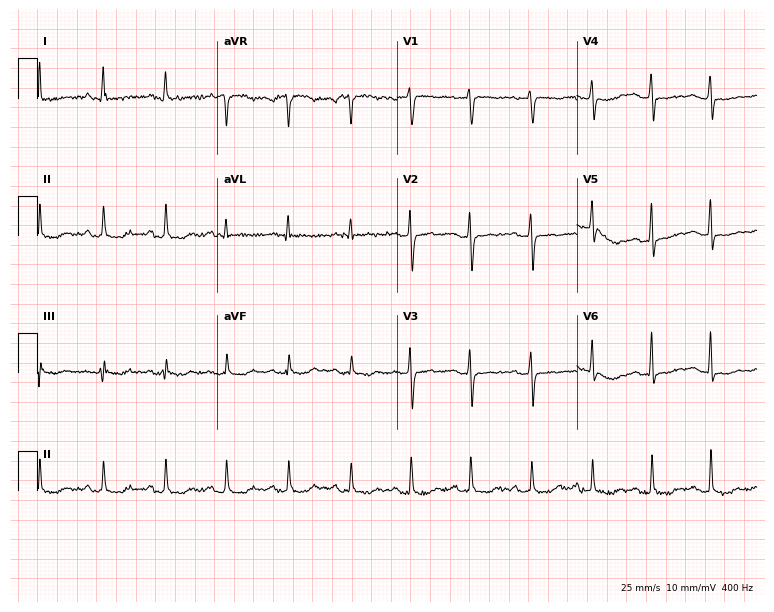
12-lead ECG from a 44-year-old female (7.3-second recording at 400 Hz). No first-degree AV block, right bundle branch block, left bundle branch block, sinus bradycardia, atrial fibrillation or sinus tachycardia recorded for this tracing.